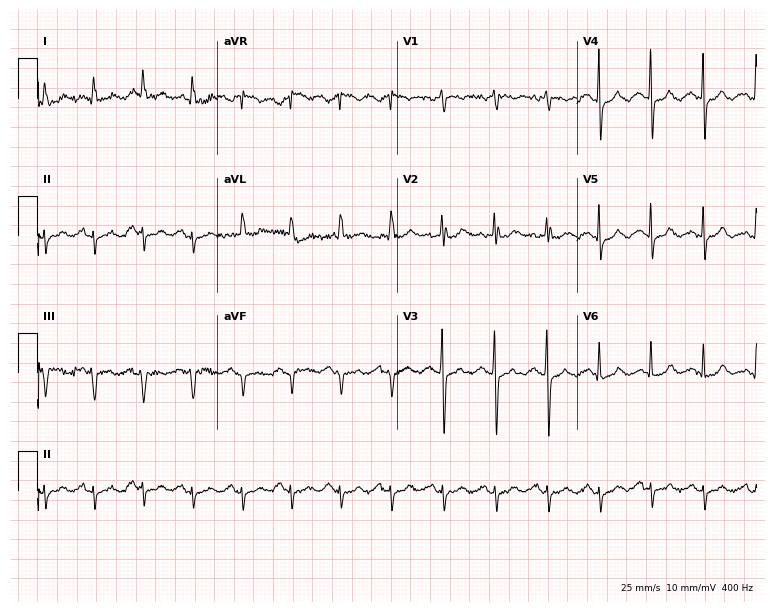
12-lead ECG from a 44-year-old female patient. Findings include sinus tachycardia (a sinus rate of 100 beats per minute or more).